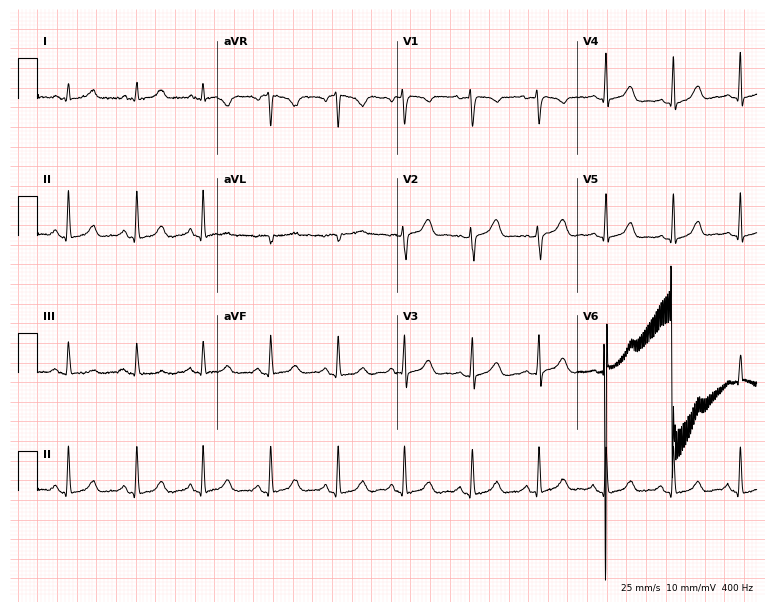
12-lead ECG from a 38-year-old female. Labelled as a normal ECG.